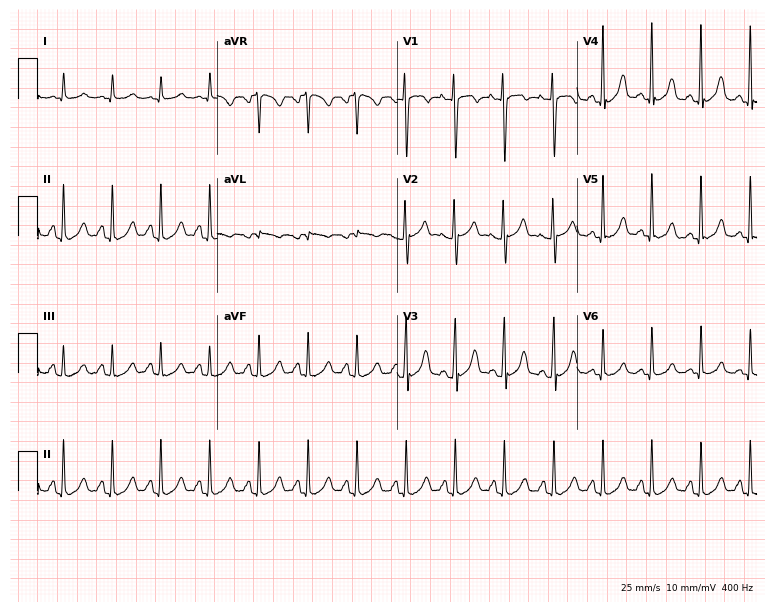
12-lead ECG (7.3-second recording at 400 Hz) from a female, 24 years old. Findings include sinus tachycardia (a sinus rate of 100 beats per minute or more).